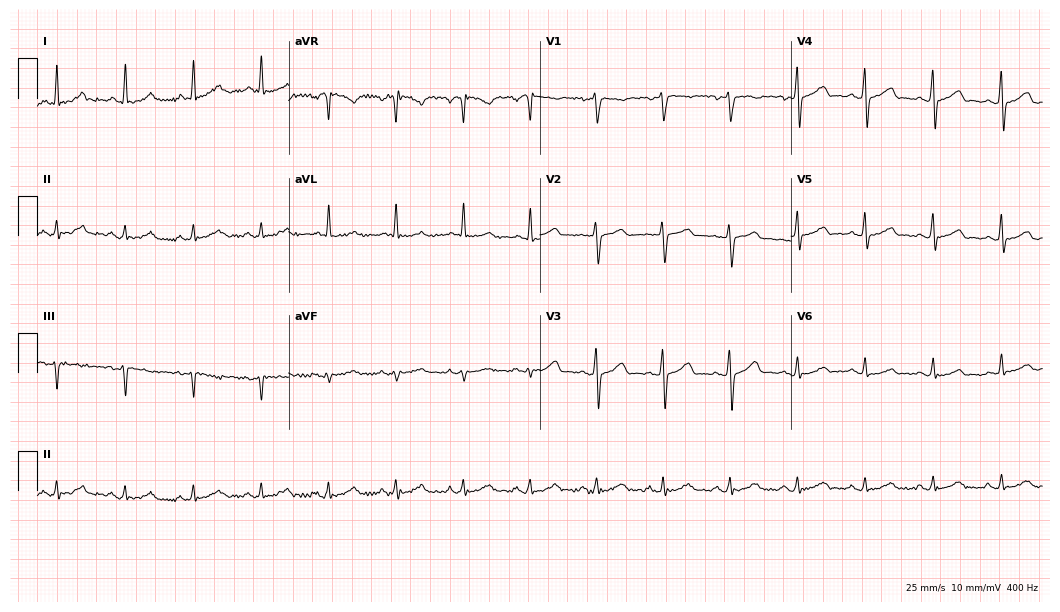
12-lead ECG (10.2-second recording at 400 Hz) from a 49-year-old male. Labelled as a normal ECG.